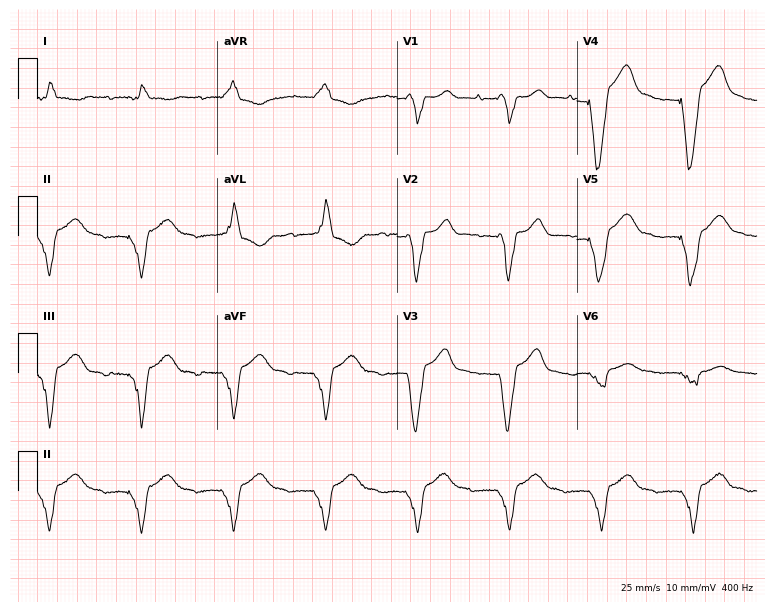
12-lead ECG from a 39-year-old female patient. Screened for six findings — first-degree AV block, right bundle branch block, left bundle branch block, sinus bradycardia, atrial fibrillation, sinus tachycardia — none is recorded. Other findings, if any, are not listed.